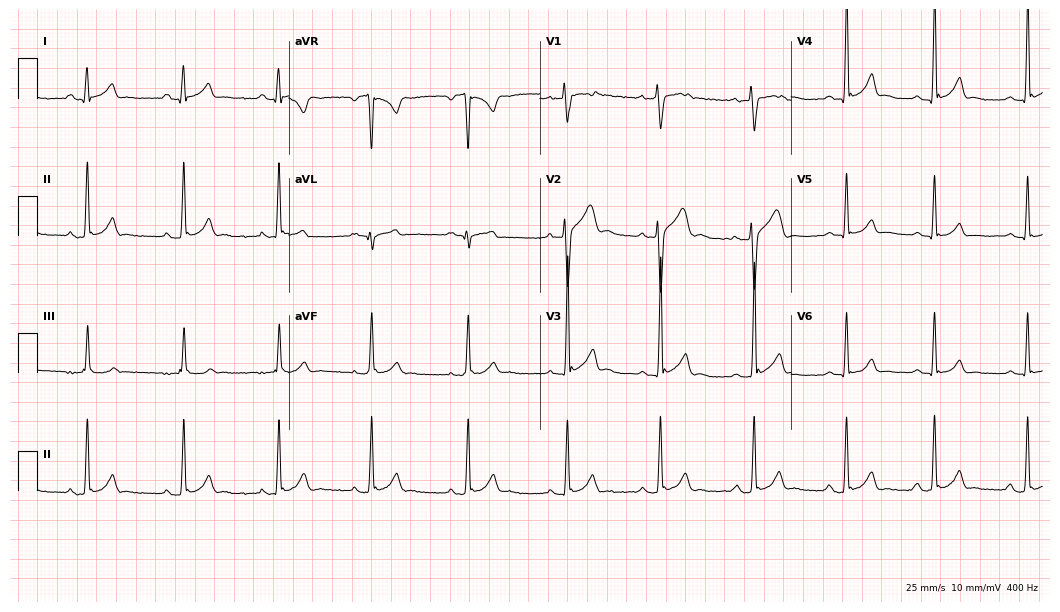
ECG — a male, 21 years old. Labelled as a normal ECG.